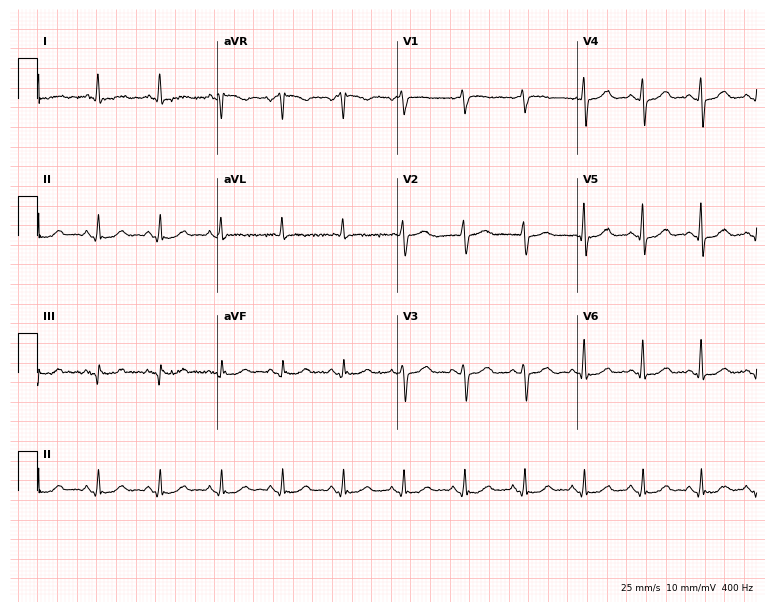
Resting 12-lead electrocardiogram. Patient: a 67-year-old female. Read as a normal ECG.